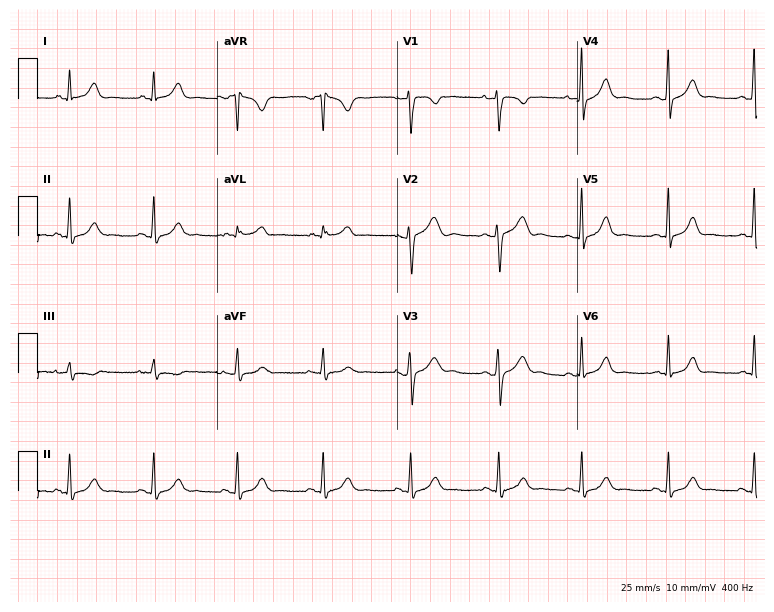
Electrocardiogram (7.3-second recording at 400 Hz), a female patient, 22 years old. Of the six screened findings (first-degree AV block, right bundle branch block, left bundle branch block, sinus bradycardia, atrial fibrillation, sinus tachycardia), none is recorded.